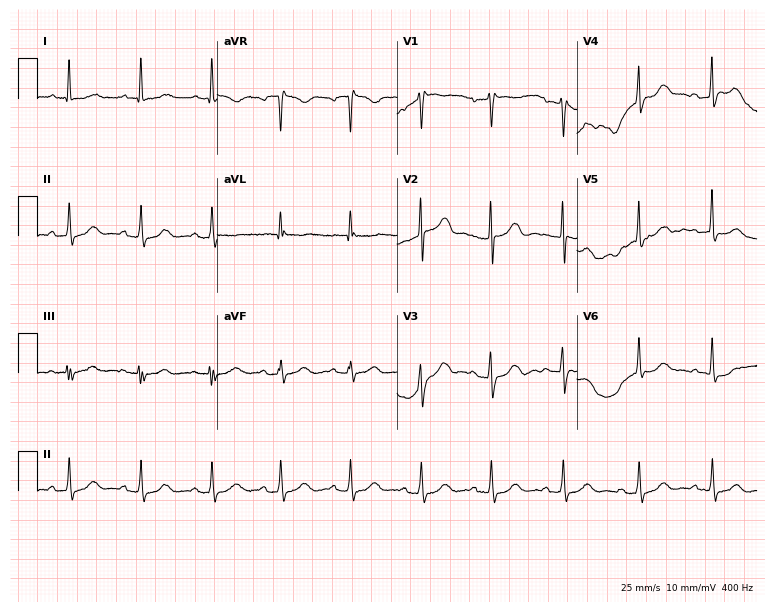
12-lead ECG from a 53-year-old female. Screened for six findings — first-degree AV block, right bundle branch block, left bundle branch block, sinus bradycardia, atrial fibrillation, sinus tachycardia — none is recorded. Findings outside these six are not listed.